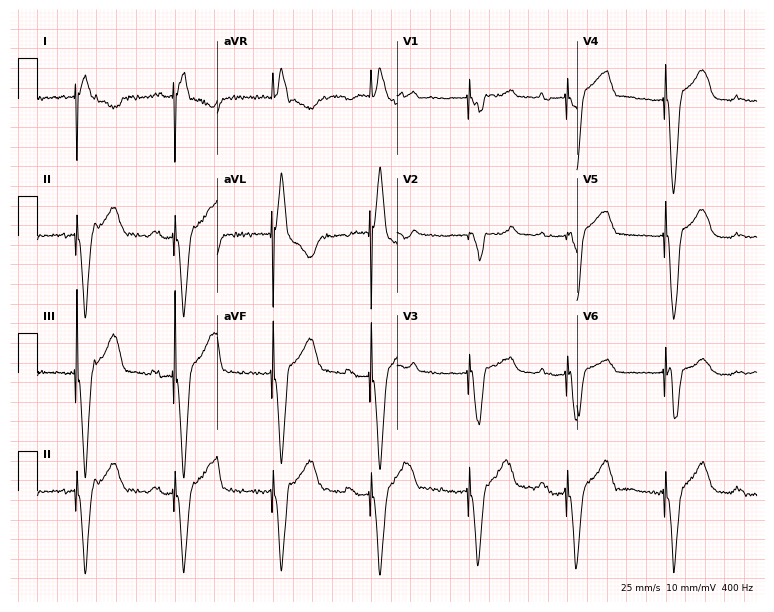
ECG (7.3-second recording at 400 Hz) — a 69-year-old female. Screened for six findings — first-degree AV block, right bundle branch block (RBBB), left bundle branch block (LBBB), sinus bradycardia, atrial fibrillation (AF), sinus tachycardia — none is recorded.